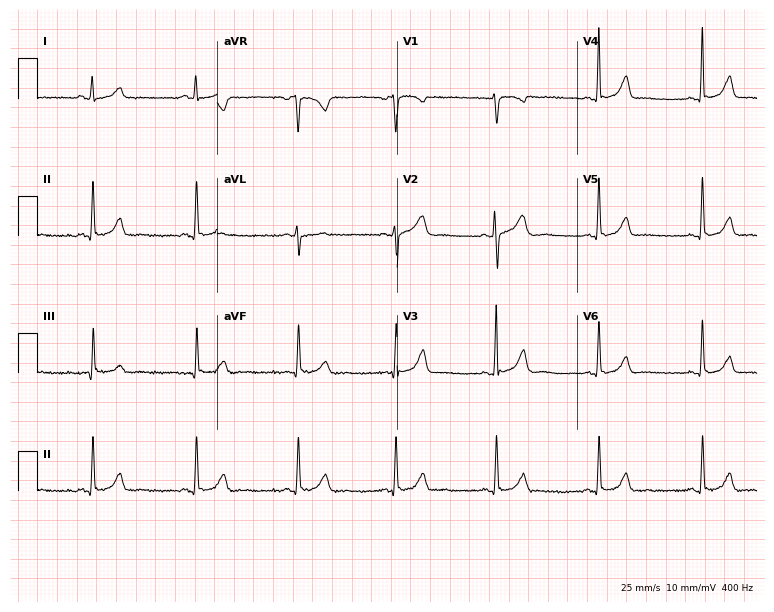
Electrocardiogram, a 44-year-old woman. Overall reading on record: normal ECG.